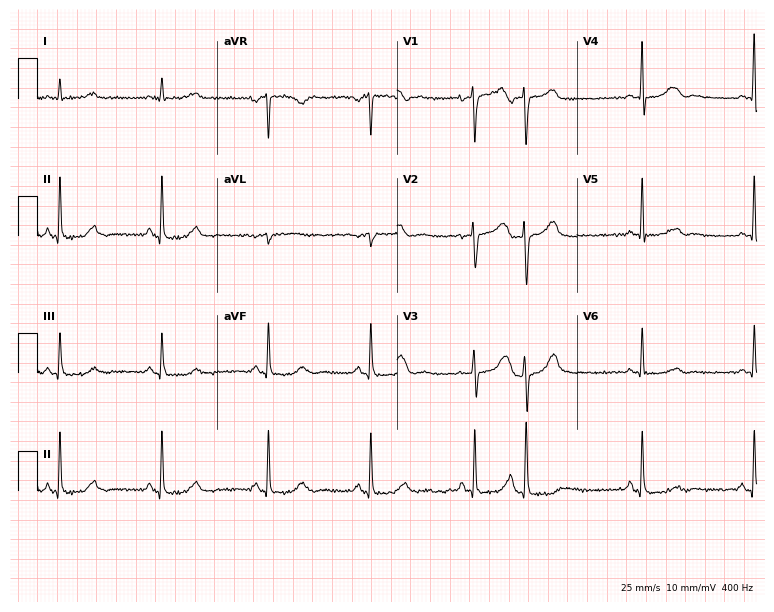
ECG — a 49-year-old female. Screened for six findings — first-degree AV block, right bundle branch block, left bundle branch block, sinus bradycardia, atrial fibrillation, sinus tachycardia — none is recorded. Other findings, if any, are not listed.